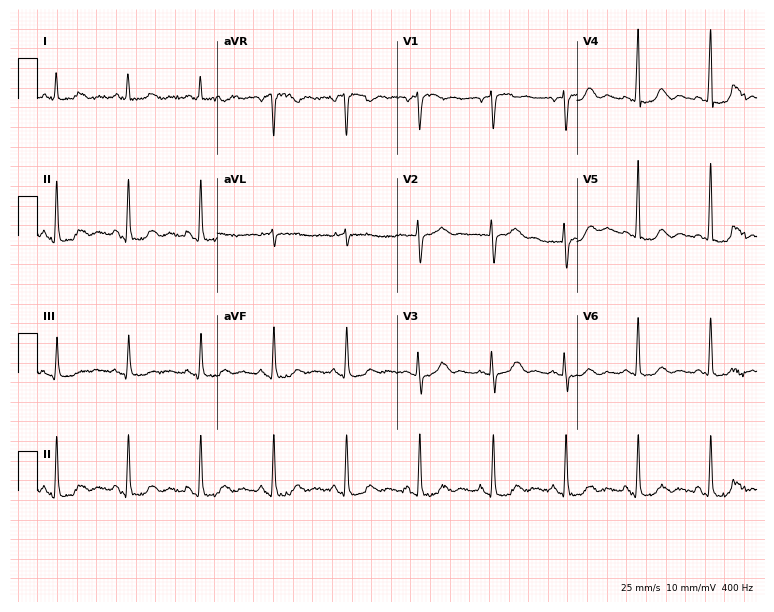
Resting 12-lead electrocardiogram (7.3-second recording at 400 Hz). Patient: a 71-year-old female. None of these six findings is recorded: first-degree AV block, right bundle branch block (RBBB), left bundle branch block (LBBB), sinus bradycardia, atrial fibrillation (AF), sinus tachycardia.